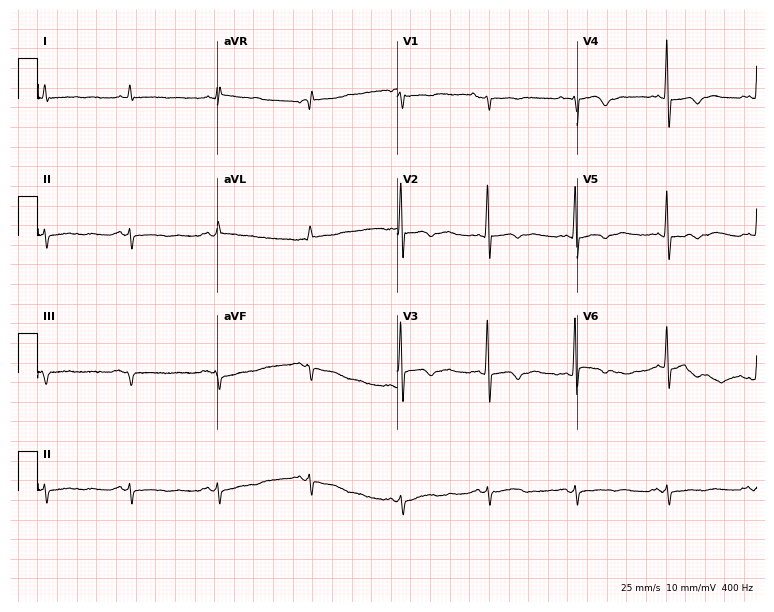
Standard 12-lead ECG recorded from a 71-year-old man (7.3-second recording at 400 Hz). None of these six findings is recorded: first-degree AV block, right bundle branch block, left bundle branch block, sinus bradycardia, atrial fibrillation, sinus tachycardia. Other findings, if any, are not listed.